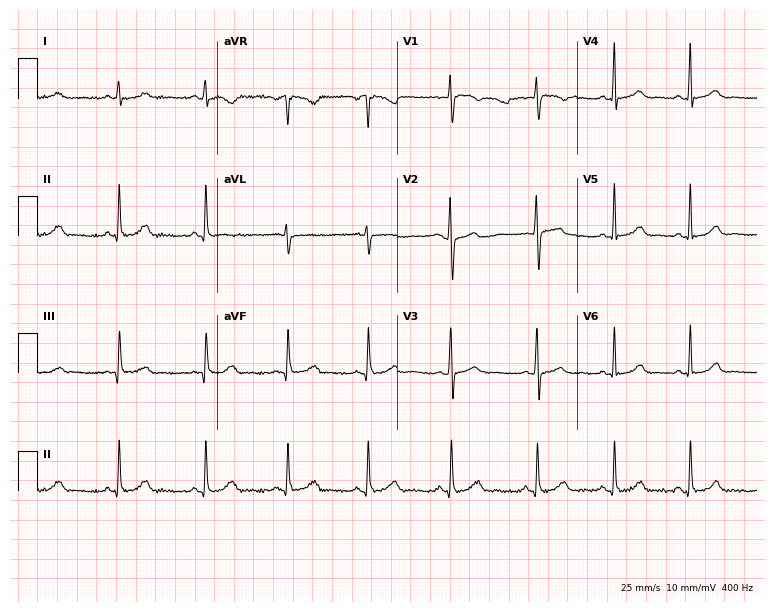
Electrocardiogram (7.3-second recording at 400 Hz), a female, 28 years old. Overall reading on record: normal ECG.